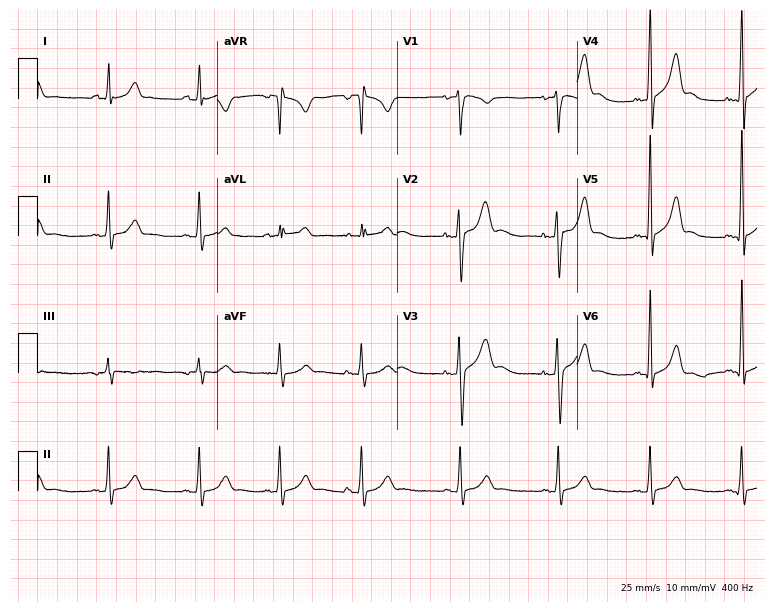
Electrocardiogram, a 23-year-old man. Overall reading on record: normal ECG.